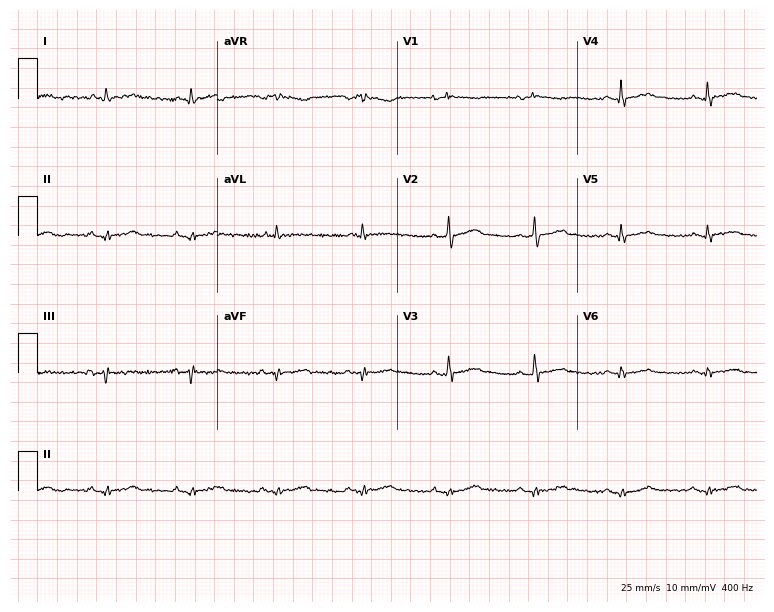
Standard 12-lead ECG recorded from a 69-year-old male patient (7.3-second recording at 400 Hz). Read as a normal ECG.